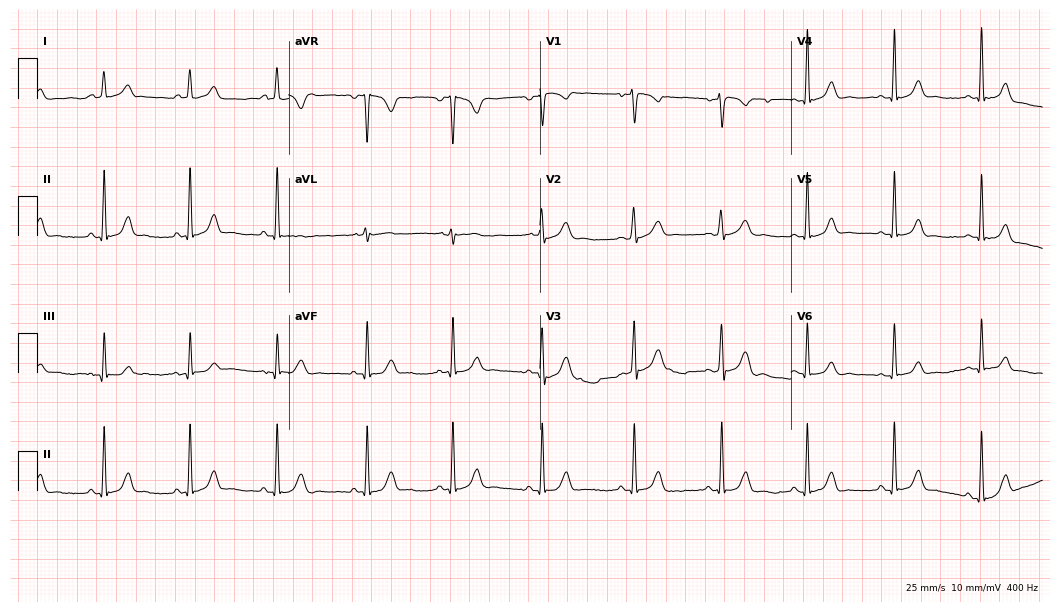
12-lead ECG from a 20-year-old woman (10.2-second recording at 400 Hz). Recorded interpretation: within normal limits.